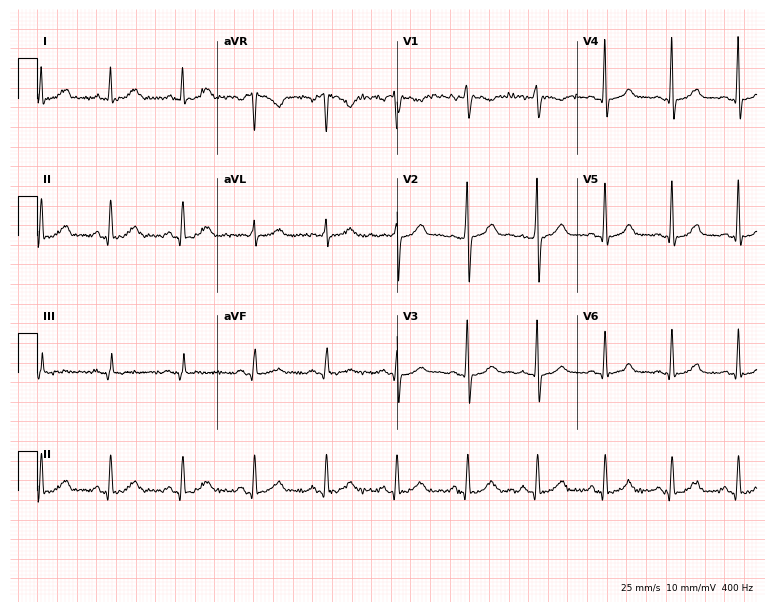
12-lead ECG from a 30-year-old male (7.3-second recording at 400 Hz). Recorded interpretation: within normal limits.